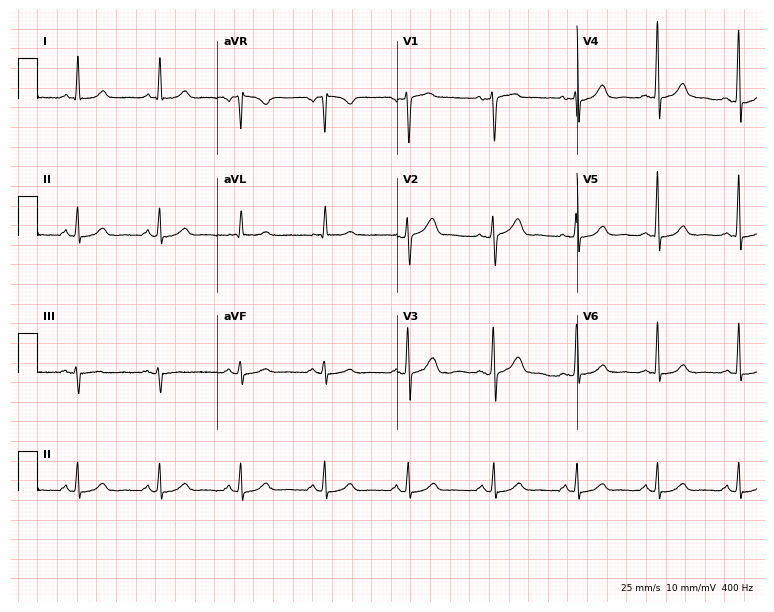
ECG (7.3-second recording at 400 Hz) — a female patient, 51 years old. Screened for six findings — first-degree AV block, right bundle branch block (RBBB), left bundle branch block (LBBB), sinus bradycardia, atrial fibrillation (AF), sinus tachycardia — none is recorded. Only these six findings were labelled.